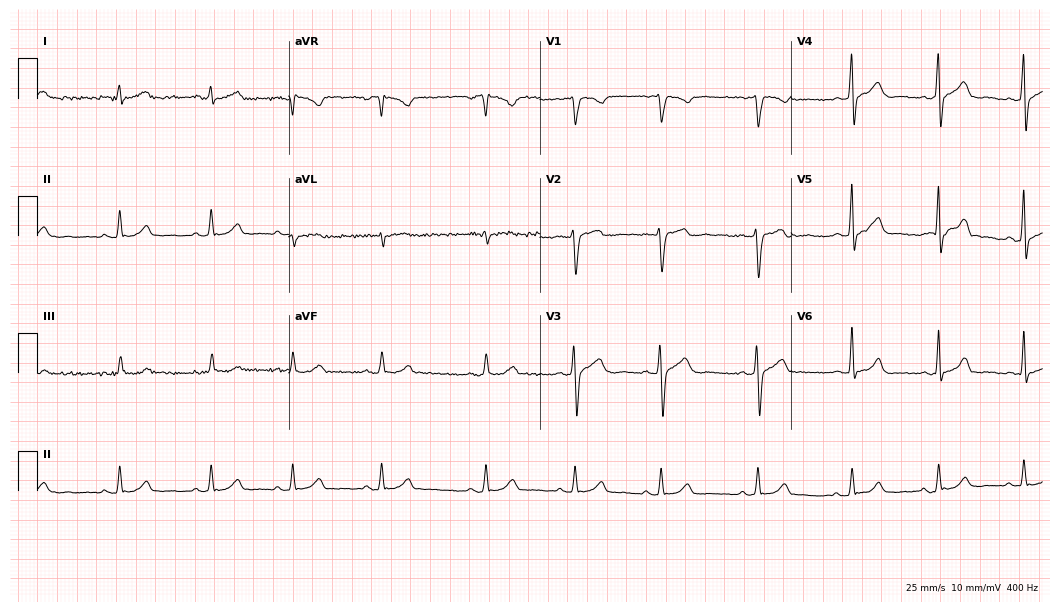
Electrocardiogram (10.2-second recording at 400 Hz), a male, 27 years old. Overall reading on record: normal ECG.